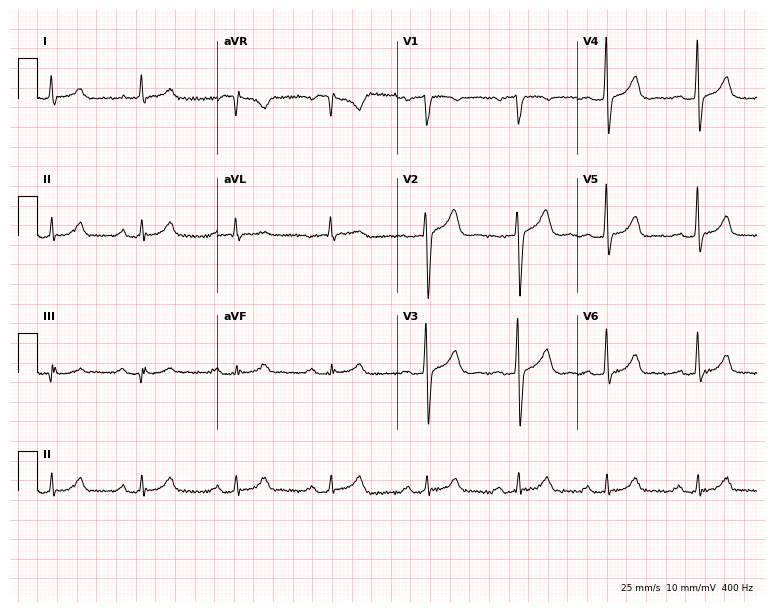
ECG — a 59-year-old man. Findings include first-degree AV block.